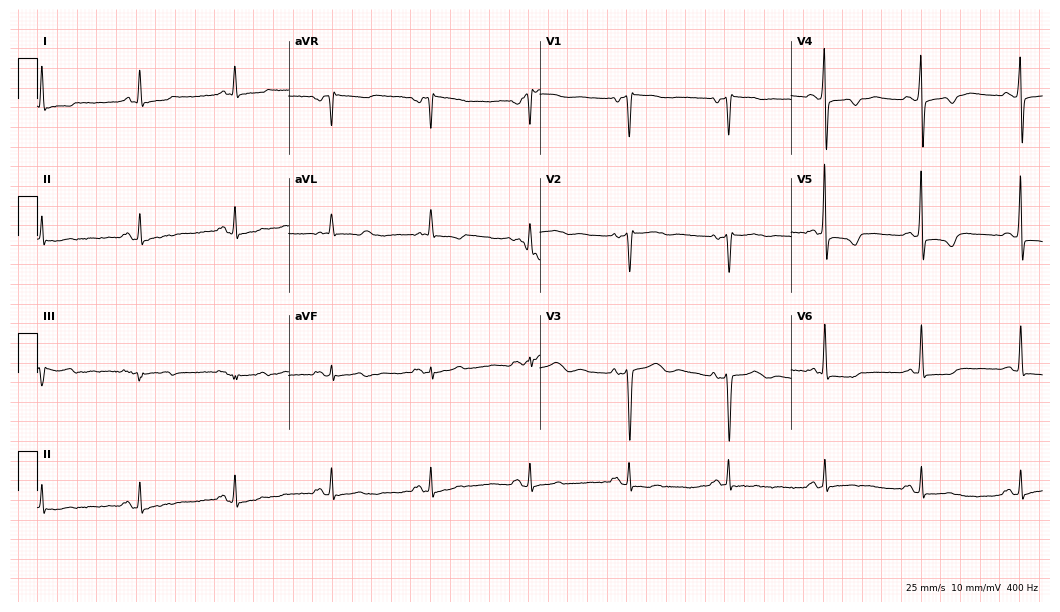
12-lead ECG from a female patient, 65 years old. Screened for six findings — first-degree AV block, right bundle branch block, left bundle branch block, sinus bradycardia, atrial fibrillation, sinus tachycardia — none is recorded. Other findings, if any, are not listed.